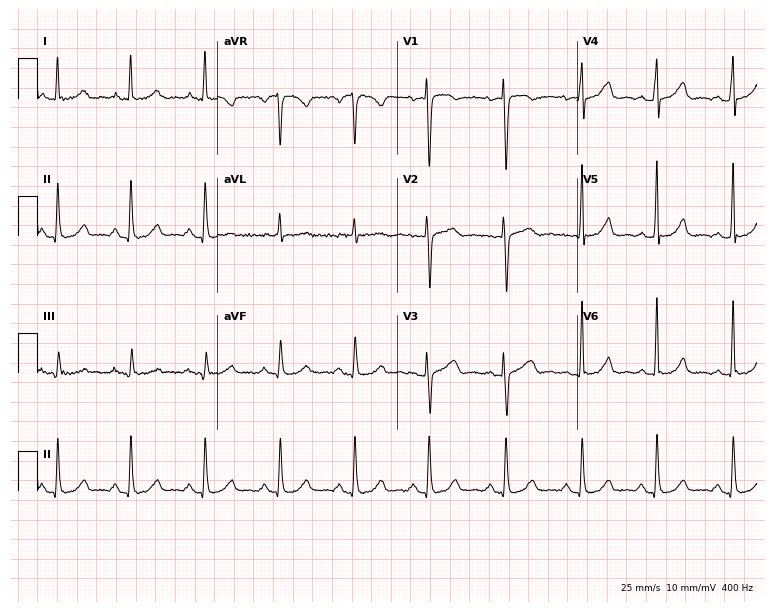
Resting 12-lead electrocardiogram (7.3-second recording at 400 Hz). Patient: a 46-year-old female. Read as a normal ECG.